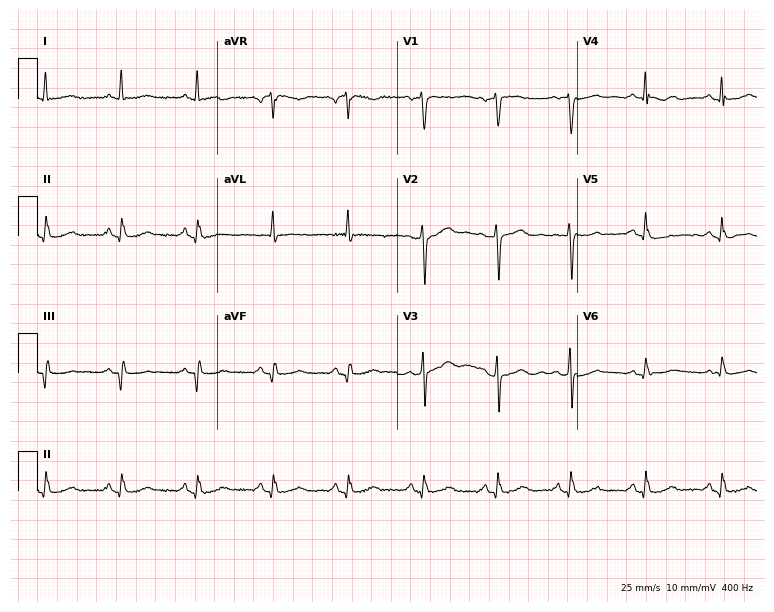
Electrocardiogram, a 70-year-old female. Of the six screened findings (first-degree AV block, right bundle branch block (RBBB), left bundle branch block (LBBB), sinus bradycardia, atrial fibrillation (AF), sinus tachycardia), none is recorded.